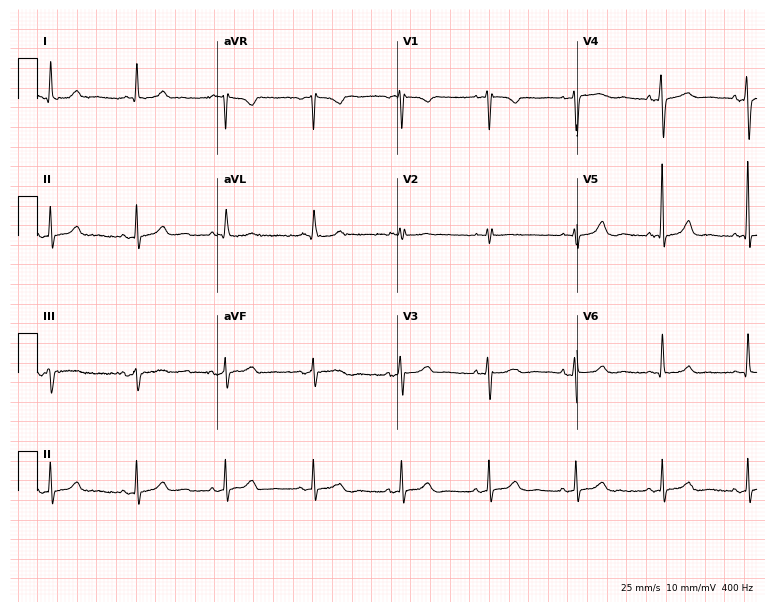
12-lead ECG from a female, 61 years old. No first-degree AV block, right bundle branch block, left bundle branch block, sinus bradycardia, atrial fibrillation or sinus tachycardia recorded for this tracing.